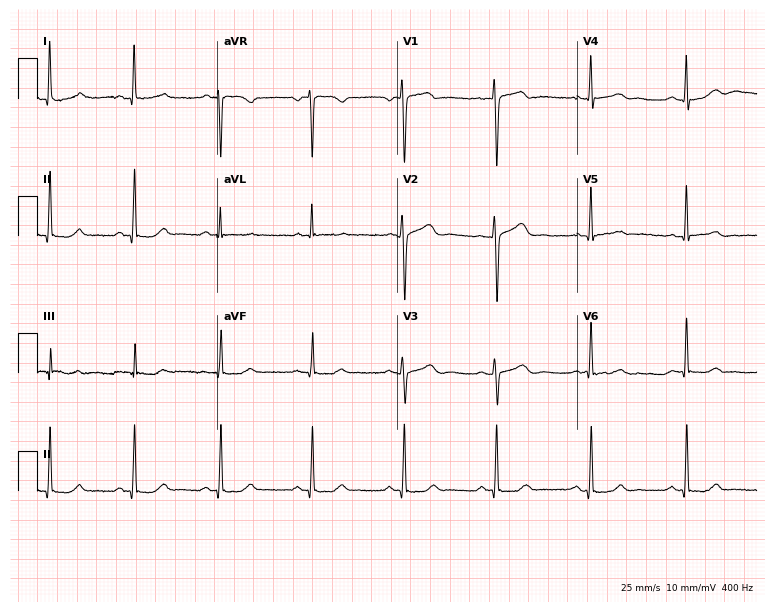
12-lead ECG from a 43-year-old female. Labelled as a normal ECG.